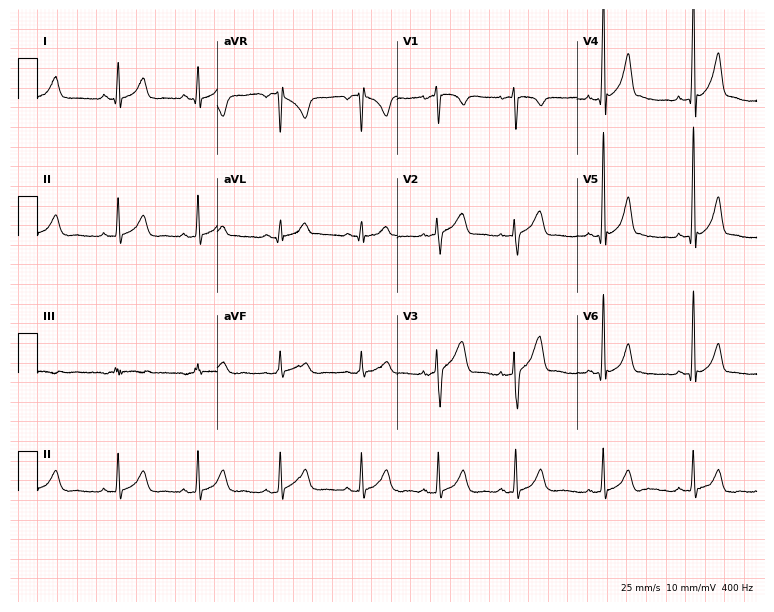
Standard 12-lead ECG recorded from a 23-year-old man. Read as a normal ECG.